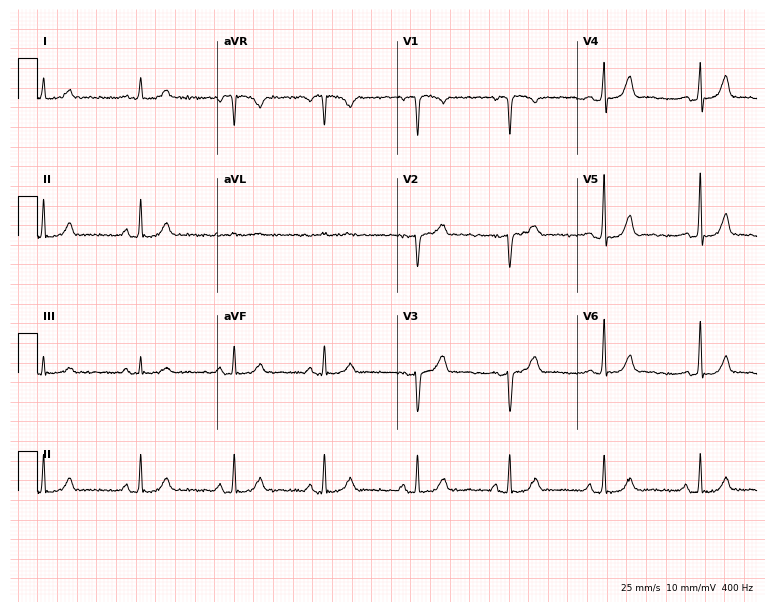
Electrocardiogram (7.3-second recording at 400 Hz), a 41-year-old female. Overall reading on record: normal ECG.